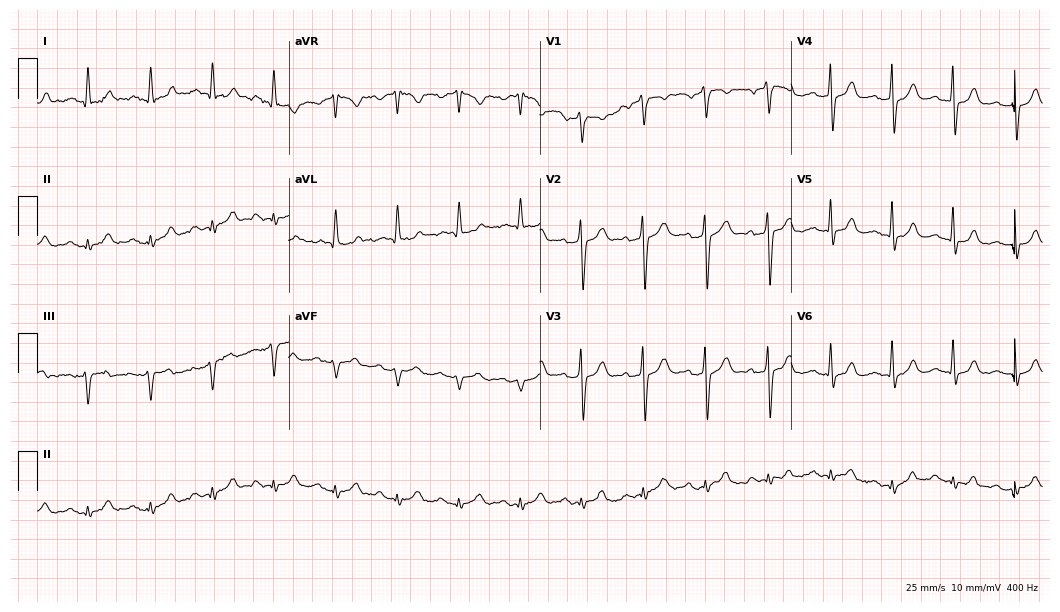
Resting 12-lead electrocardiogram (10.2-second recording at 400 Hz). Patient: a man, 67 years old. Read as a normal ECG.